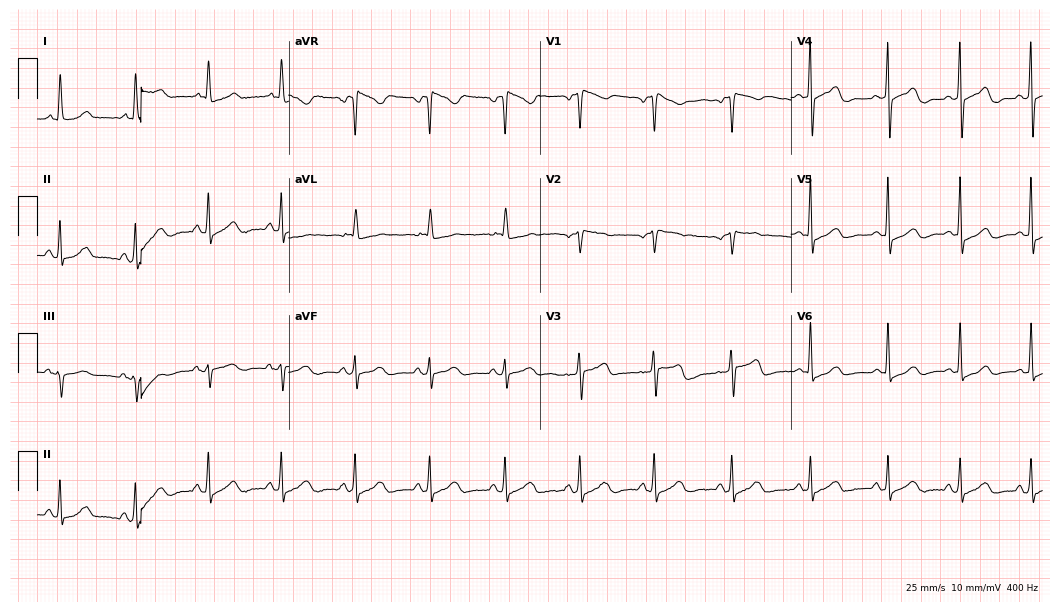
12-lead ECG from a 55-year-old woman. Screened for six findings — first-degree AV block, right bundle branch block, left bundle branch block, sinus bradycardia, atrial fibrillation, sinus tachycardia — none is recorded.